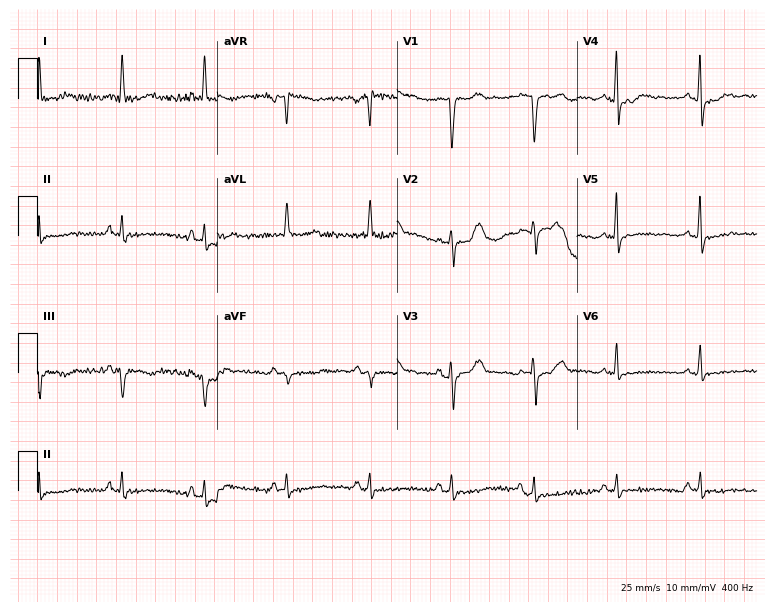
Resting 12-lead electrocardiogram. Patient: a male, 69 years old. None of these six findings is recorded: first-degree AV block, right bundle branch block, left bundle branch block, sinus bradycardia, atrial fibrillation, sinus tachycardia. Other findings, if any, are not listed.